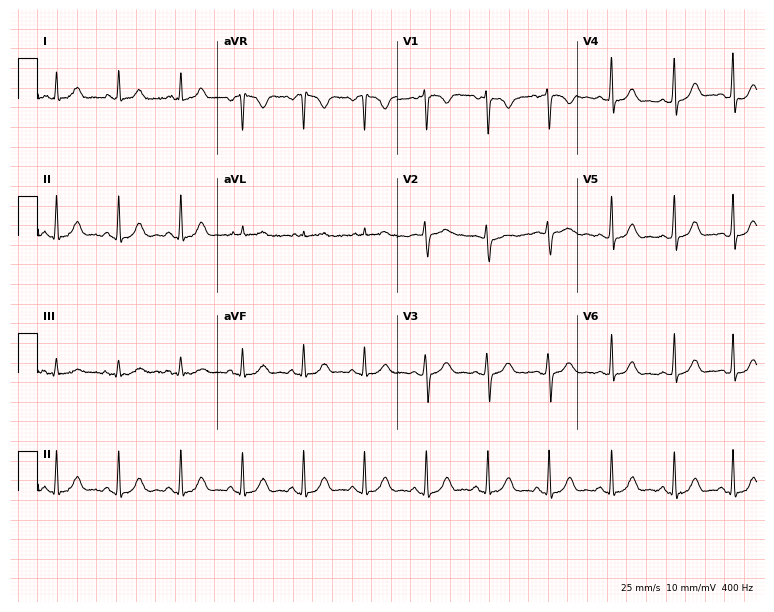
12-lead ECG from a 20-year-old female. Recorded interpretation: within normal limits.